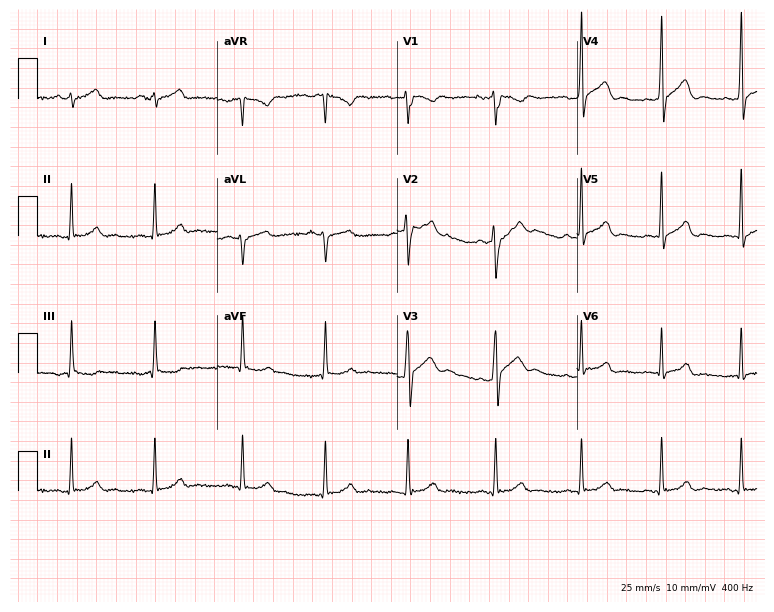
Resting 12-lead electrocardiogram (7.3-second recording at 400 Hz). Patient: a 32-year-old male. None of these six findings is recorded: first-degree AV block, right bundle branch block, left bundle branch block, sinus bradycardia, atrial fibrillation, sinus tachycardia.